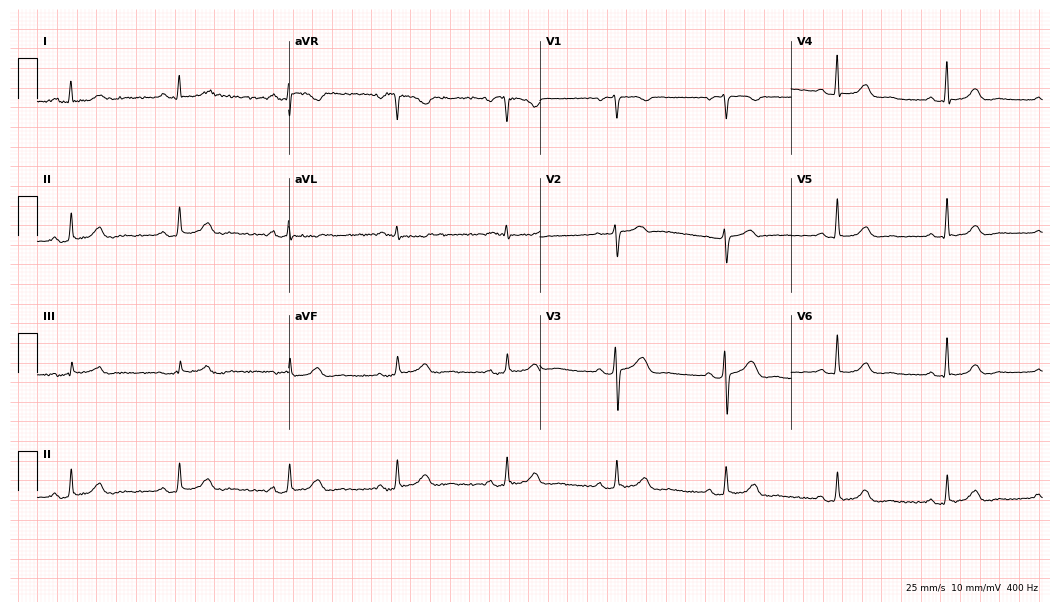
12-lead ECG from a woman, 67 years old. Recorded interpretation: within normal limits.